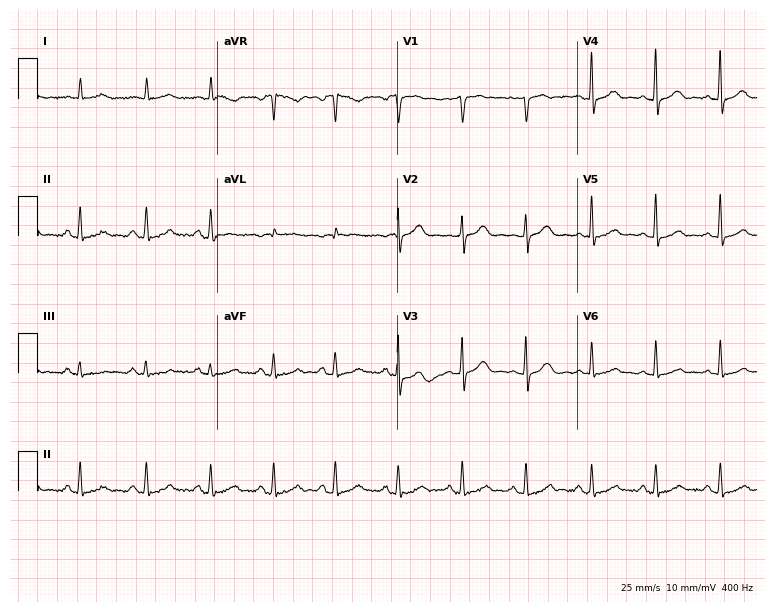
ECG (7.3-second recording at 400 Hz) — a 56-year-old female. Screened for six findings — first-degree AV block, right bundle branch block (RBBB), left bundle branch block (LBBB), sinus bradycardia, atrial fibrillation (AF), sinus tachycardia — none is recorded.